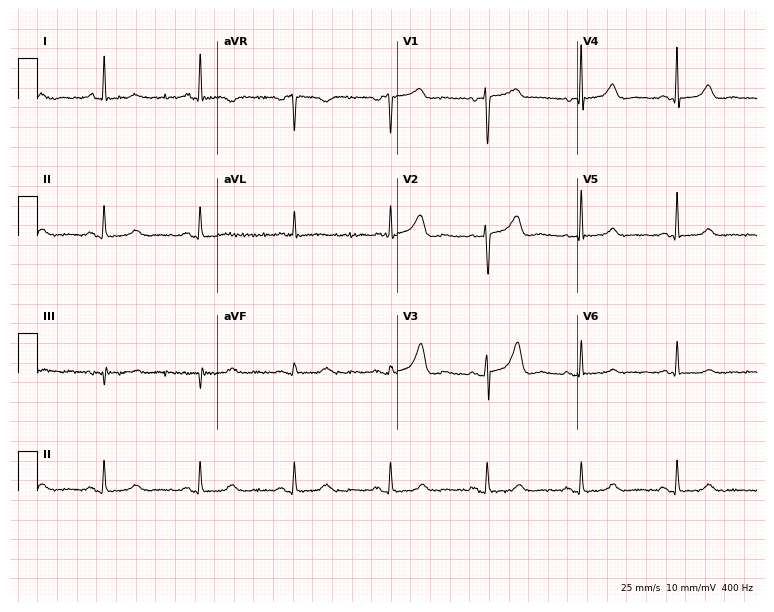
ECG — a woman, 68 years old. Screened for six findings — first-degree AV block, right bundle branch block (RBBB), left bundle branch block (LBBB), sinus bradycardia, atrial fibrillation (AF), sinus tachycardia — none is recorded. Other findings, if any, are not listed.